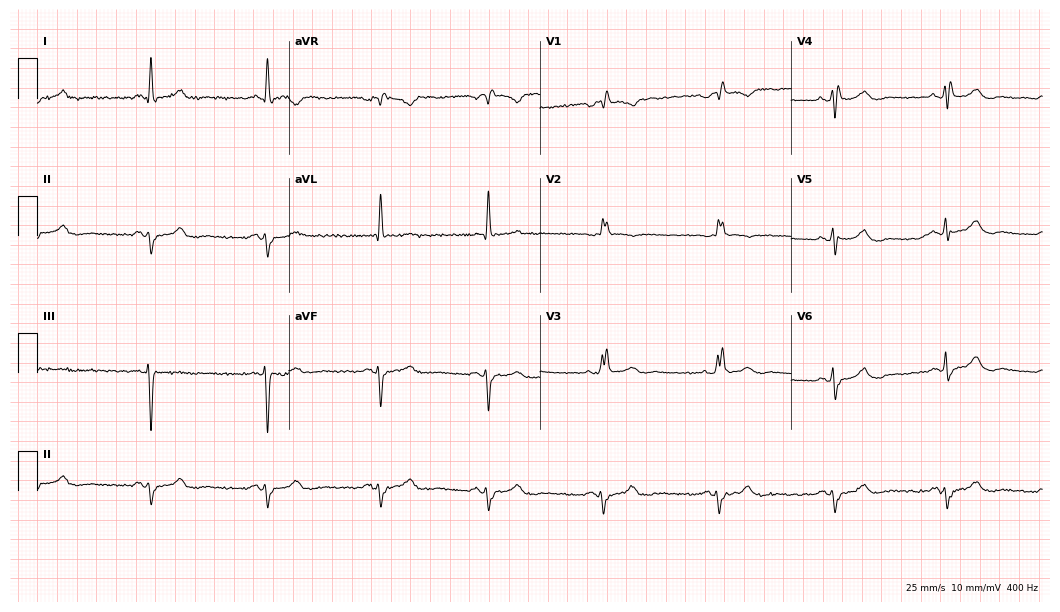
12-lead ECG from a man, 85 years old. Findings include right bundle branch block (RBBB).